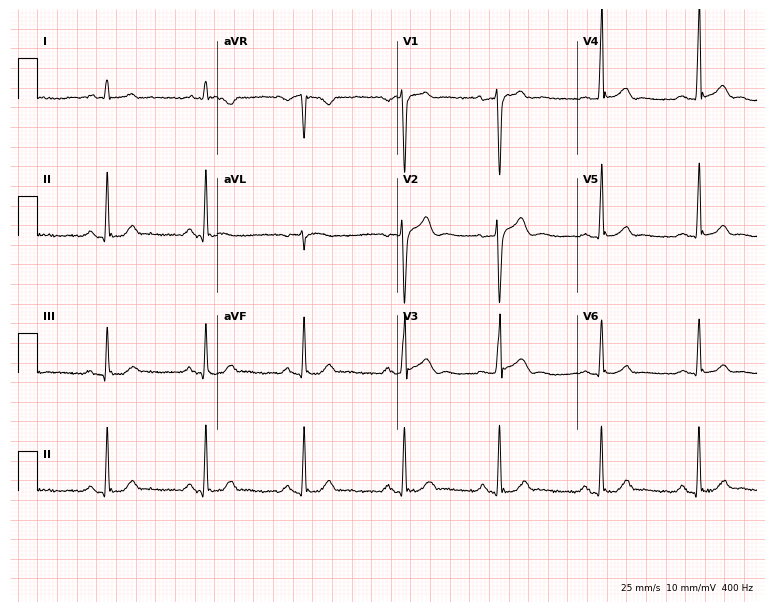
Standard 12-lead ECG recorded from a male, 24 years old. Read as a normal ECG.